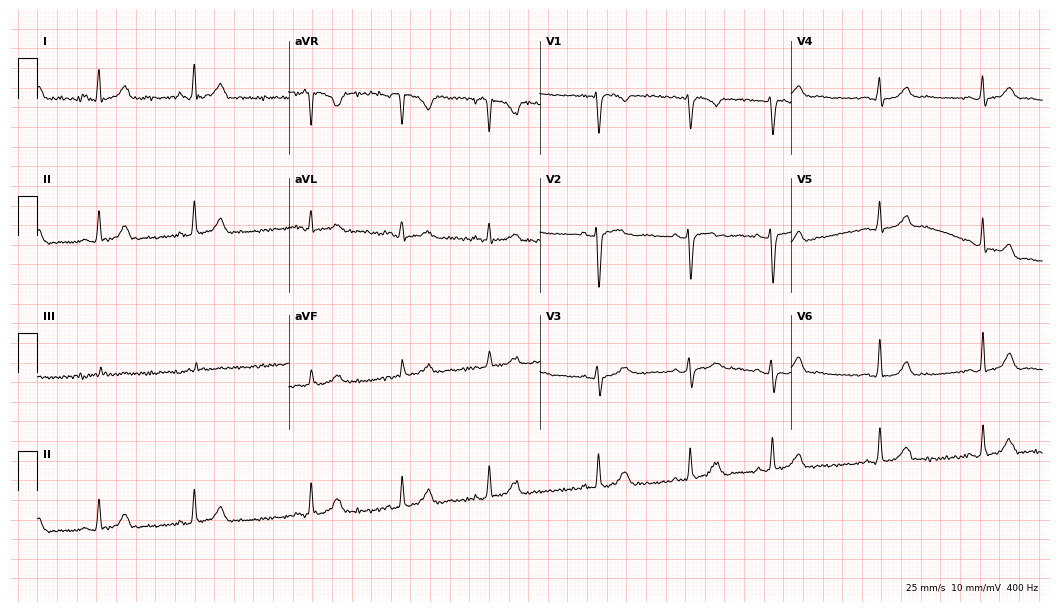
12-lead ECG from a woman, 25 years old. Recorded interpretation: within normal limits.